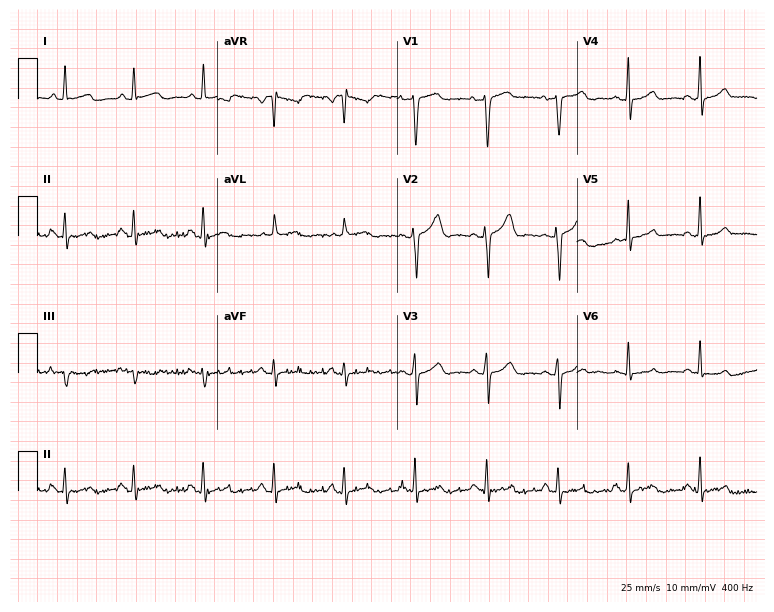
ECG — a 59-year-old female patient. Screened for six findings — first-degree AV block, right bundle branch block, left bundle branch block, sinus bradycardia, atrial fibrillation, sinus tachycardia — none is recorded. Findings outside these six are not listed.